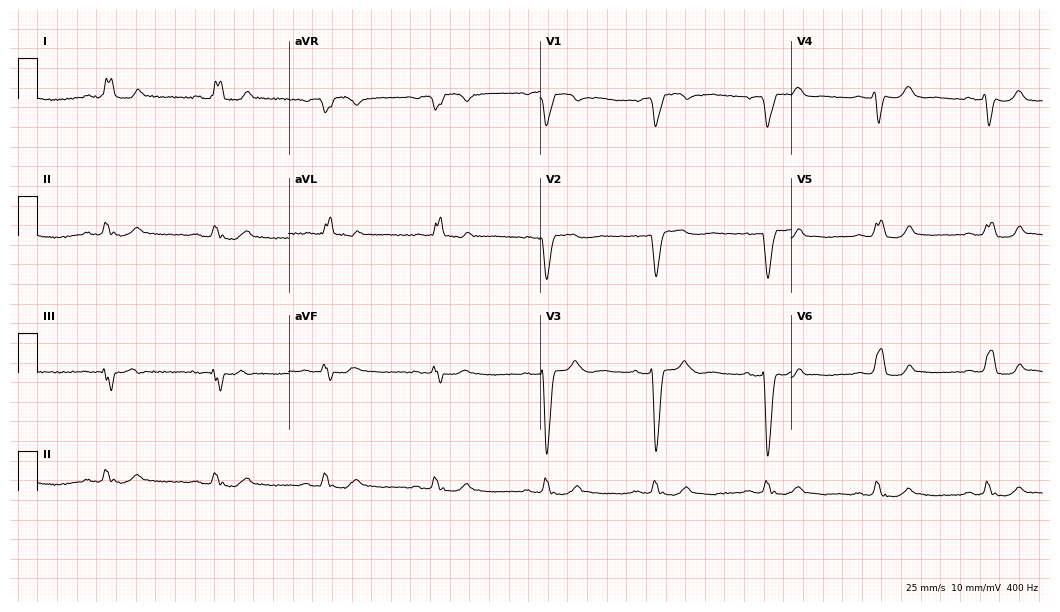
12-lead ECG from a woman, 64 years old. Shows left bundle branch block.